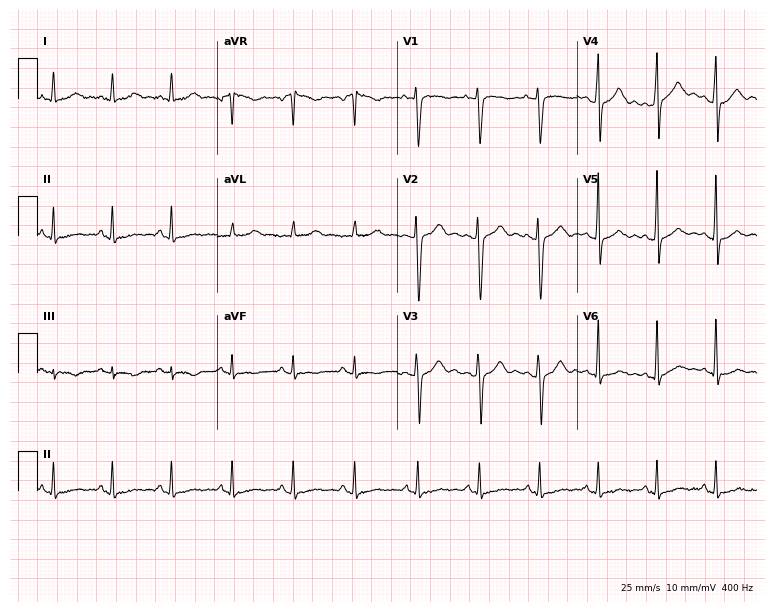
Electrocardiogram, a female patient, 36 years old. Of the six screened findings (first-degree AV block, right bundle branch block, left bundle branch block, sinus bradycardia, atrial fibrillation, sinus tachycardia), none is recorded.